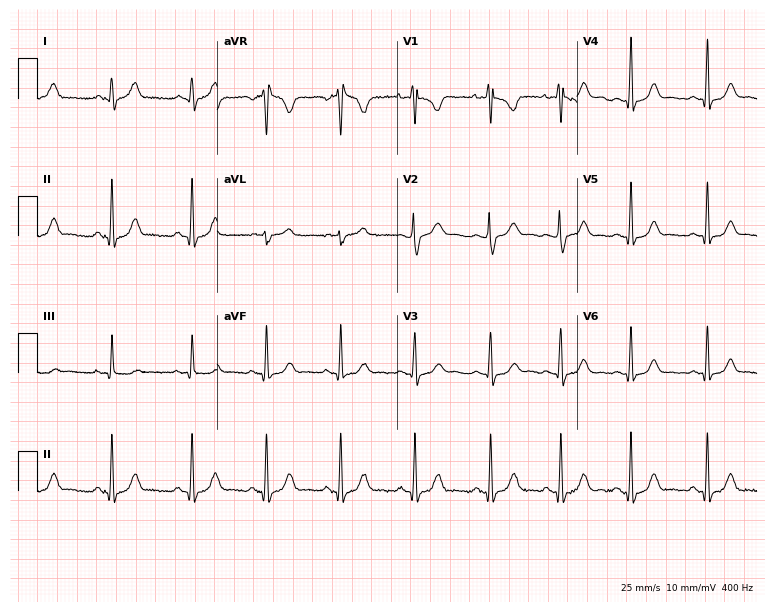
Electrocardiogram, a 19-year-old female patient. Overall reading on record: normal ECG.